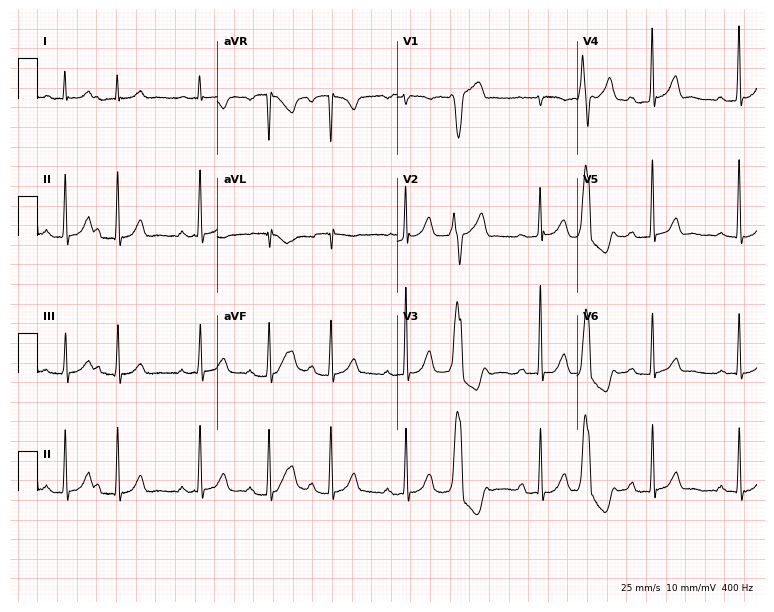
Electrocardiogram, an 85-year-old woman. Of the six screened findings (first-degree AV block, right bundle branch block, left bundle branch block, sinus bradycardia, atrial fibrillation, sinus tachycardia), none is recorded.